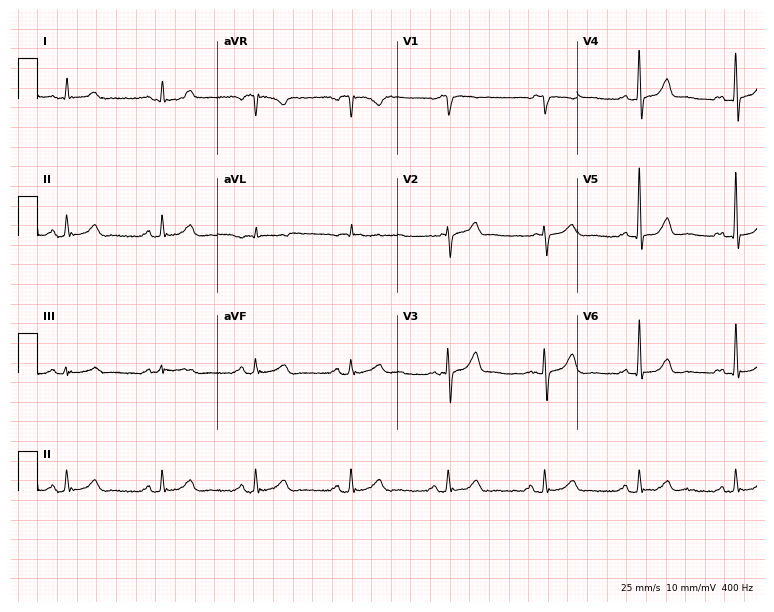
Resting 12-lead electrocardiogram. Patient: a male, 72 years old. Read as a normal ECG.